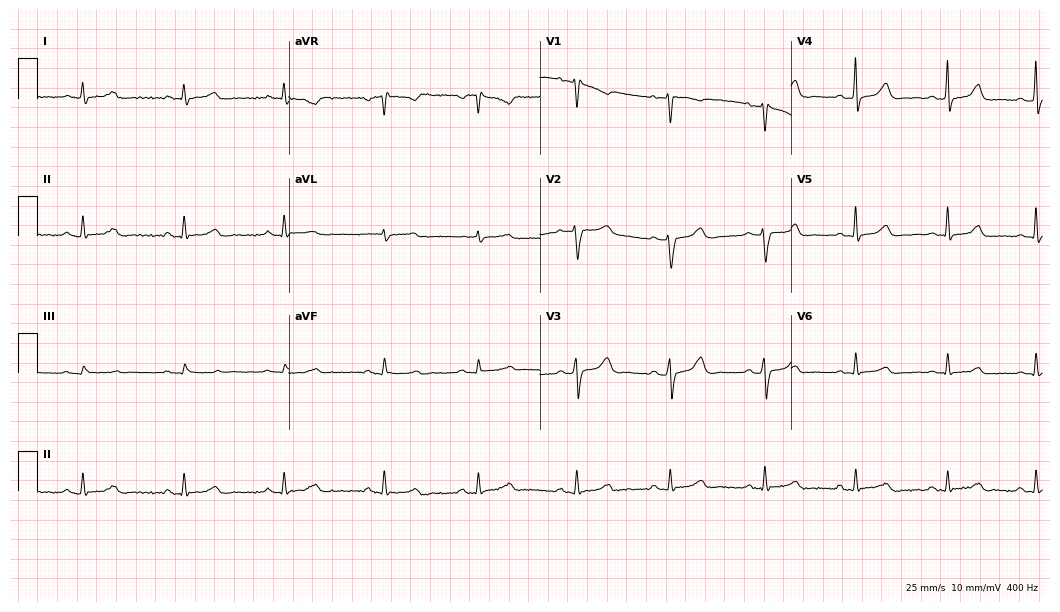
Electrocardiogram, a woman, 47 years old. Overall reading on record: normal ECG.